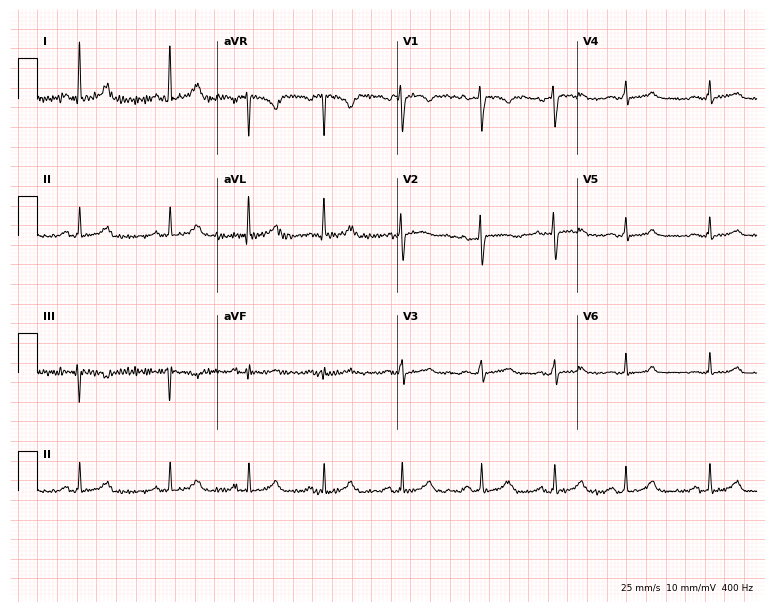
Electrocardiogram, a woman, 37 years old. Overall reading on record: normal ECG.